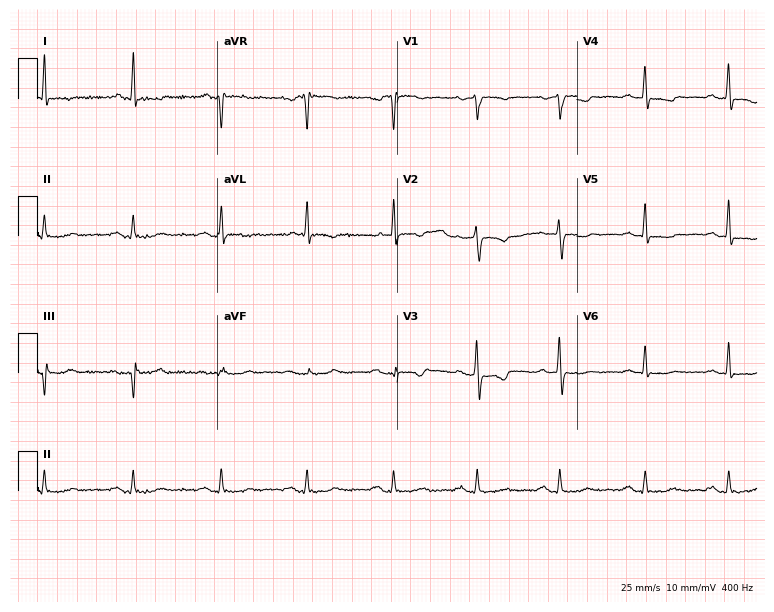
Standard 12-lead ECG recorded from a 71-year-old woman. None of these six findings is recorded: first-degree AV block, right bundle branch block (RBBB), left bundle branch block (LBBB), sinus bradycardia, atrial fibrillation (AF), sinus tachycardia. Only these six findings were labelled.